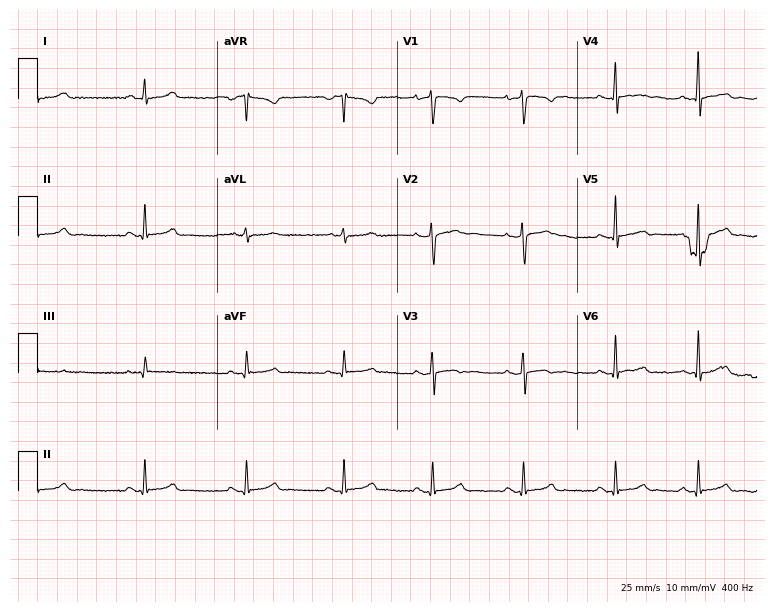
Electrocardiogram (7.3-second recording at 400 Hz), a 30-year-old female. Overall reading on record: normal ECG.